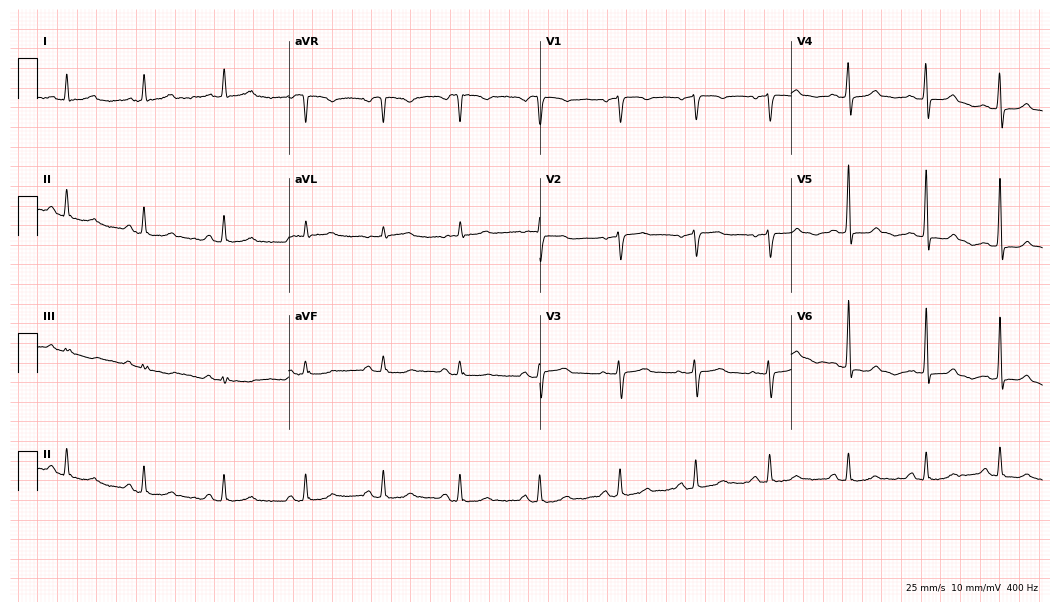
Standard 12-lead ECG recorded from a 72-year-old female patient. None of these six findings is recorded: first-degree AV block, right bundle branch block (RBBB), left bundle branch block (LBBB), sinus bradycardia, atrial fibrillation (AF), sinus tachycardia.